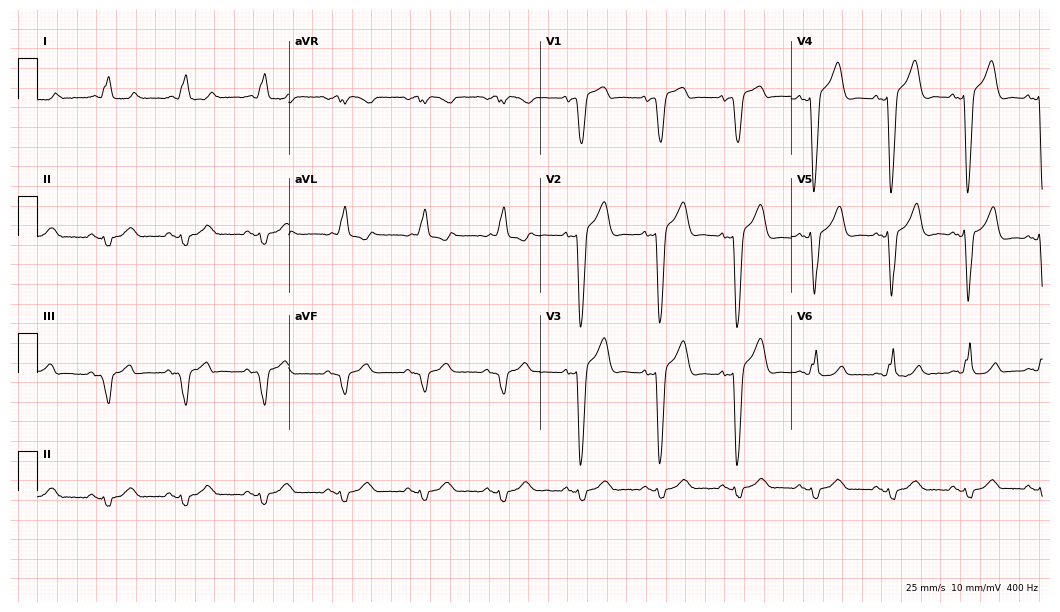
ECG — a 77-year-old male. Findings include left bundle branch block.